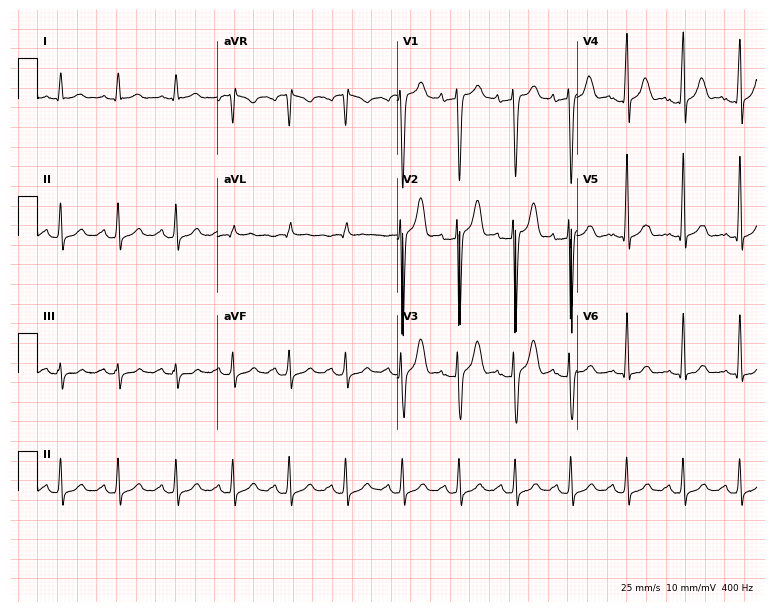
Resting 12-lead electrocardiogram. Patient: a man, 49 years old. The tracing shows sinus tachycardia (a sinus rate of 100 beats per minute or more).